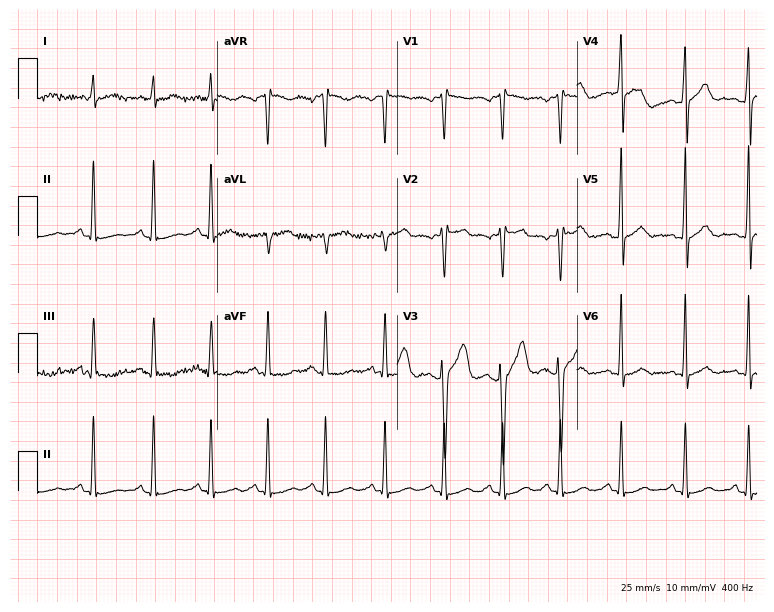
Standard 12-lead ECG recorded from a male, 35 years old. None of these six findings is recorded: first-degree AV block, right bundle branch block, left bundle branch block, sinus bradycardia, atrial fibrillation, sinus tachycardia. Findings outside these six are not listed.